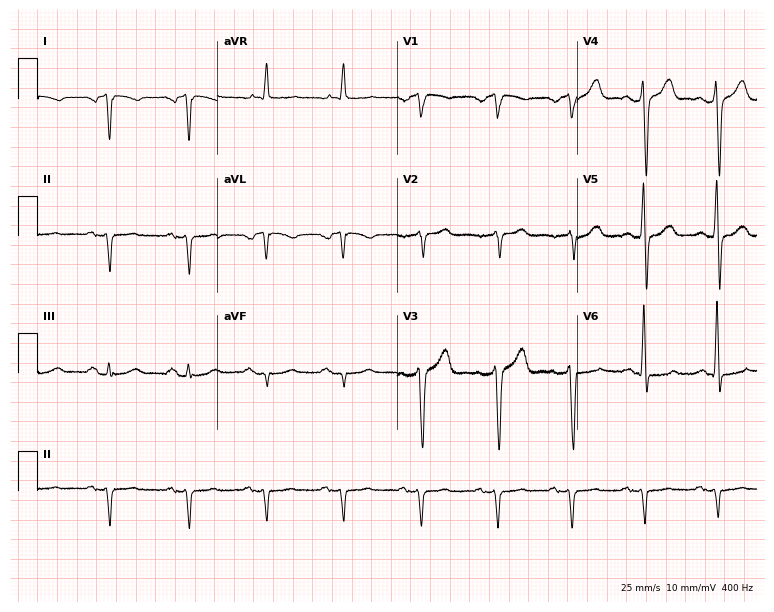
Resting 12-lead electrocardiogram (7.3-second recording at 400 Hz). Patient: a male, 69 years old. None of these six findings is recorded: first-degree AV block, right bundle branch block, left bundle branch block, sinus bradycardia, atrial fibrillation, sinus tachycardia.